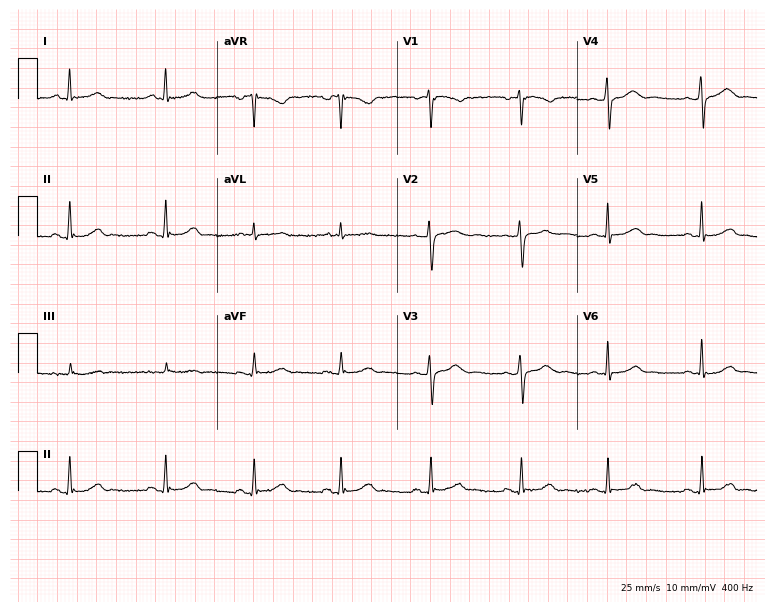
ECG (7.3-second recording at 400 Hz) — a 50-year-old female patient. Screened for six findings — first-degree AV block, right bundle branch block (RBBB), left bundle branch block (LBBB), sinus bradycardia, atrial fibrillation (AF), sinus tachycardia — none is recorded. Findings outside these six are not listed.